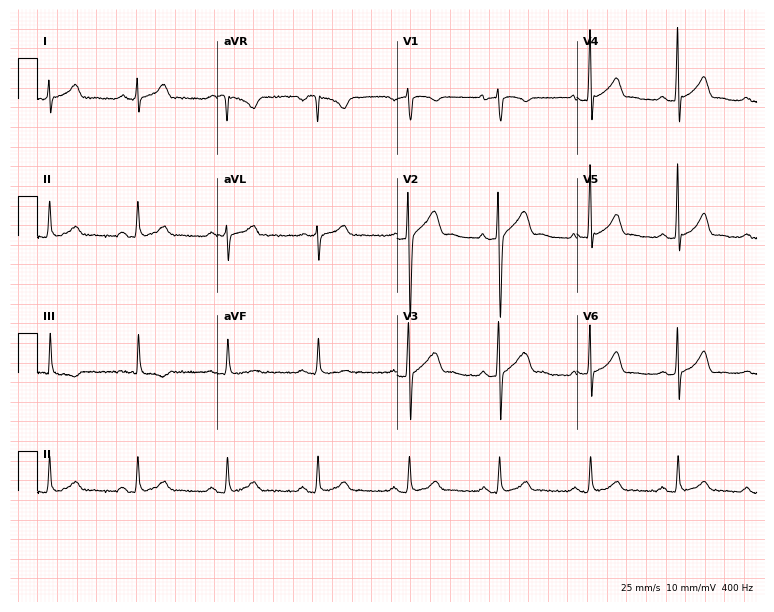
12-lead ECG from a male patient, 44 years old (7.3-second recording at 400 Hz). No first-degree AV block, right bundle branch block (RBBB), left bundle branch block (LBBB), sinus bradycardia, atrial fibrillation (AF) or sinus tachycardia recorded for this tracing.